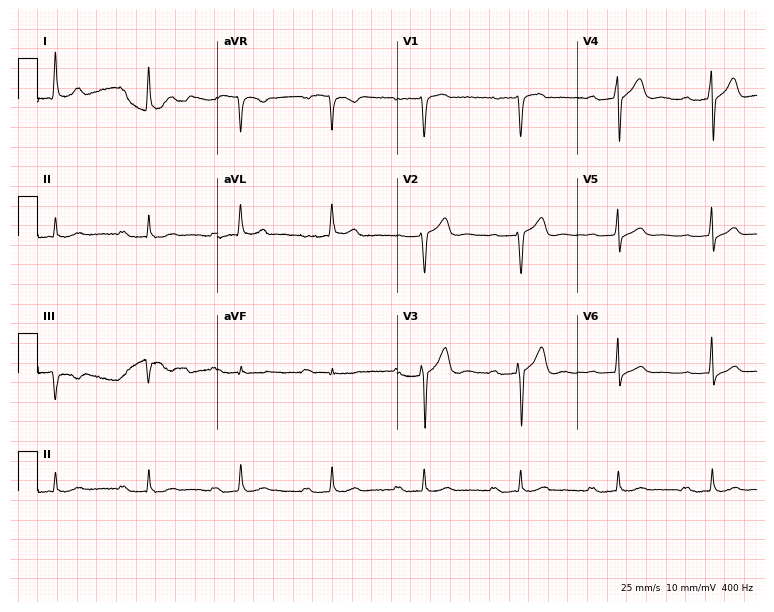
ECG — a woman, 66 years old. Screened for six findings — first-degree AV block, right bundle branch block (RBBB), left bundle branch block (LBBB), sinus bradycardia, atrial fibrillation (AF), sinus tachycardia — none is recorded. Other findings, if any, are not listed.